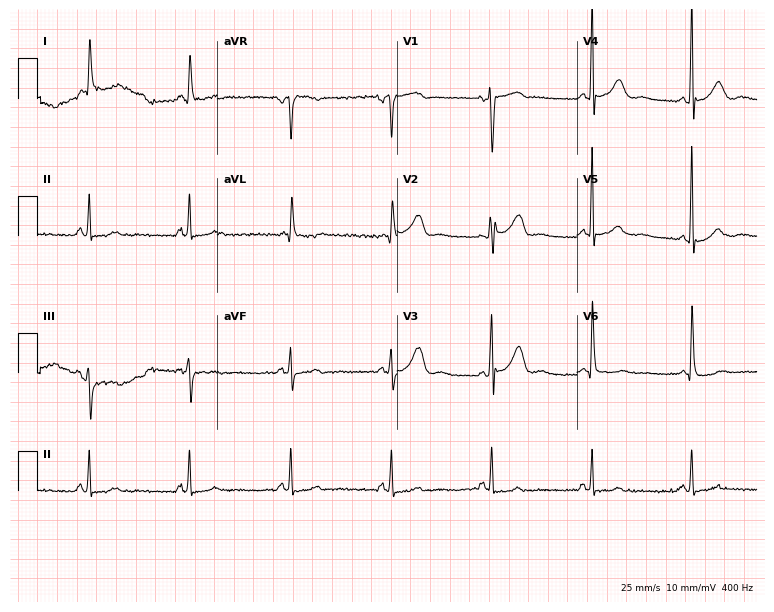
12-lead ECG (7.3-second recording at 400 Hz) from a 78-year-old male. Screened for six findings — first-degree AV block, right bundle branch block, left bundle branch block, sinus bradycardia, atrial fibrillation, sinus tachycardia — none is recorded.